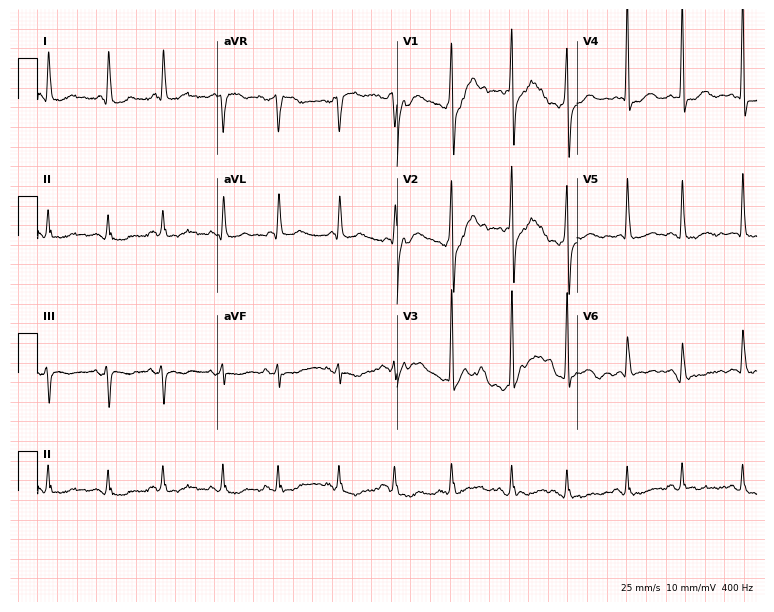
Electrocardiogram, a male, 74 years old. Of the six screened findings (first-degree AV block, right bundle branch block, left bundle branch block, sinus bradycardia, atrial fibrillation, sinus tachycardia), none is recorded.